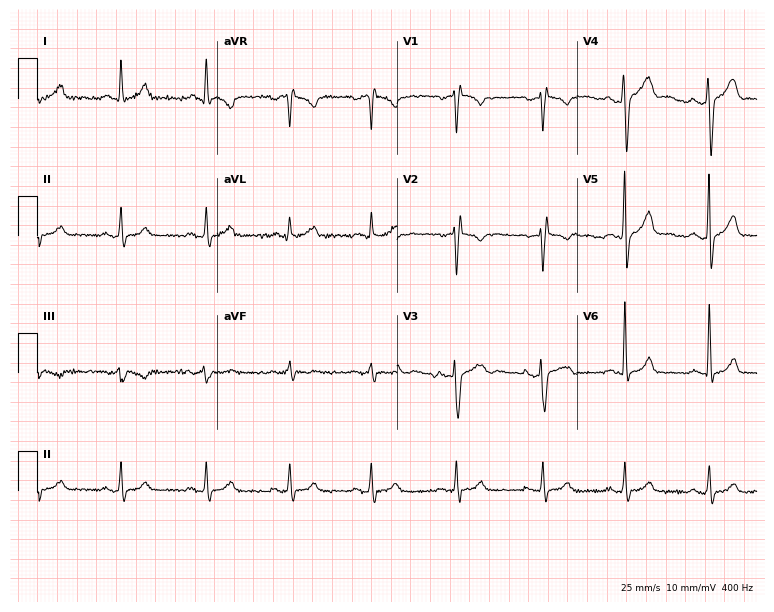
Electrocardiogram, a 46-year-old male. Of the six screened findings (first-degree AV block, right bundle branch block (RBBB), left bundle branch block (LBBB), sinus bradycardia, atrial fibrillation (AF), sinus tachycardia), none is recorded. Findings outside these six are not listed.